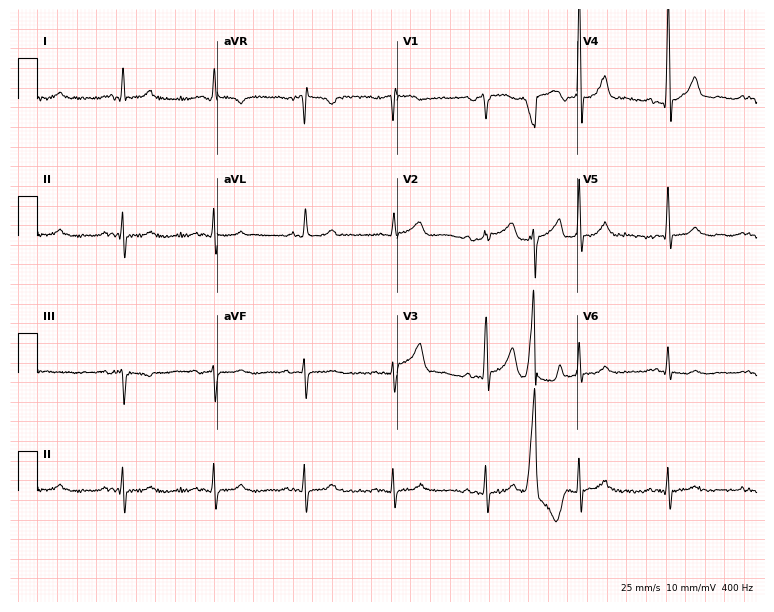
Resting 12-lead electrocardiogram (7.3-second recording at 400 Hz). Patient: a 74-year-old male. None of these six findings is recorded: first-degree AV block, right bundle branch block, left bundle branch block, sinus bradycardia, atrial fibrillation, sinus tachycardia.